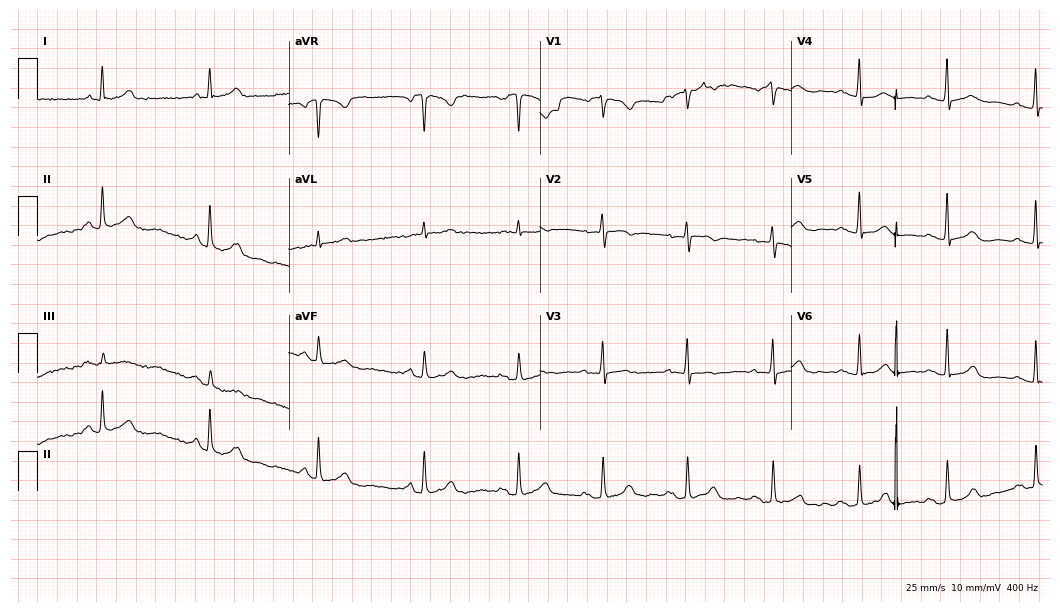
Standard 12-lead ECG recorded from a woman, 72 years old (10.2-second recording at 400 Hz). Read as a normal ECG.